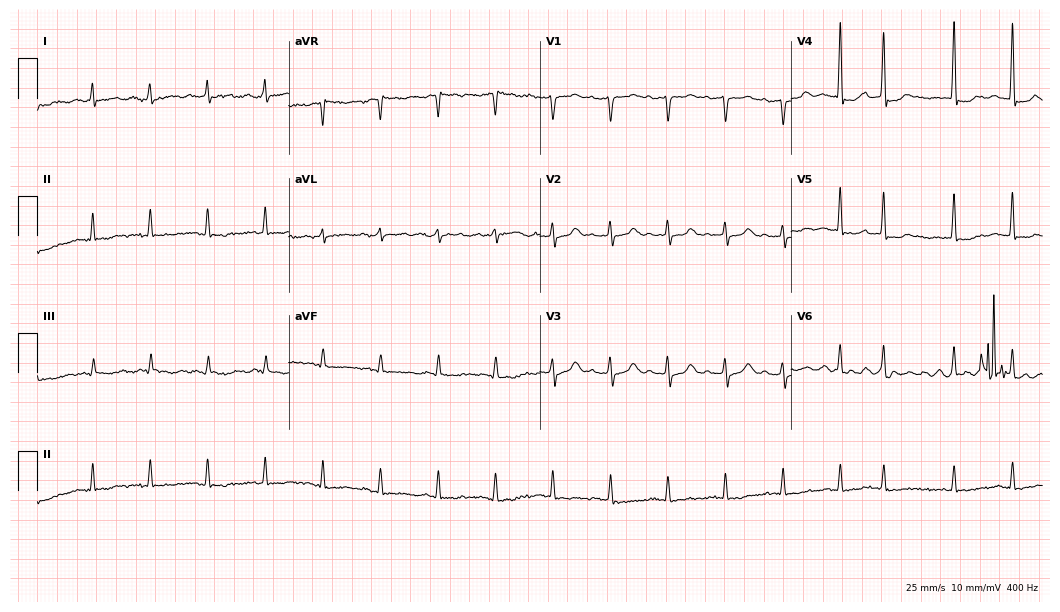
ECG (10.2-second recording at 400 Hz) — a female patient, 83 years old. Findings include sinus tachycardia (a sinus rate of 100 beats per minute or more).